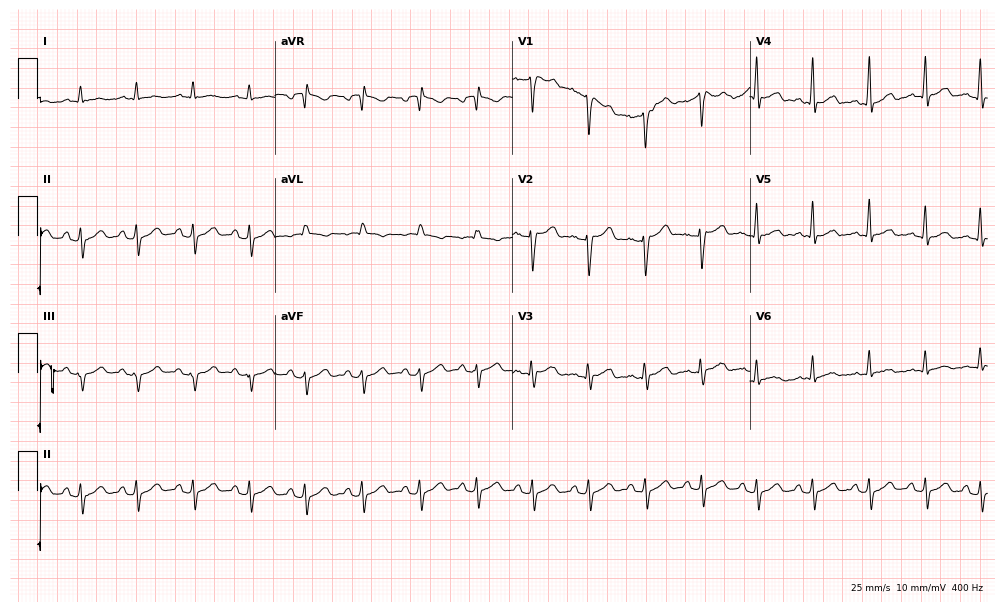
12-lead ECG from a female, 39 years old (9.7-second recording at 400 Hz). Shows sinus tachycardia (a sinus rate of 100 beats per minute or more).